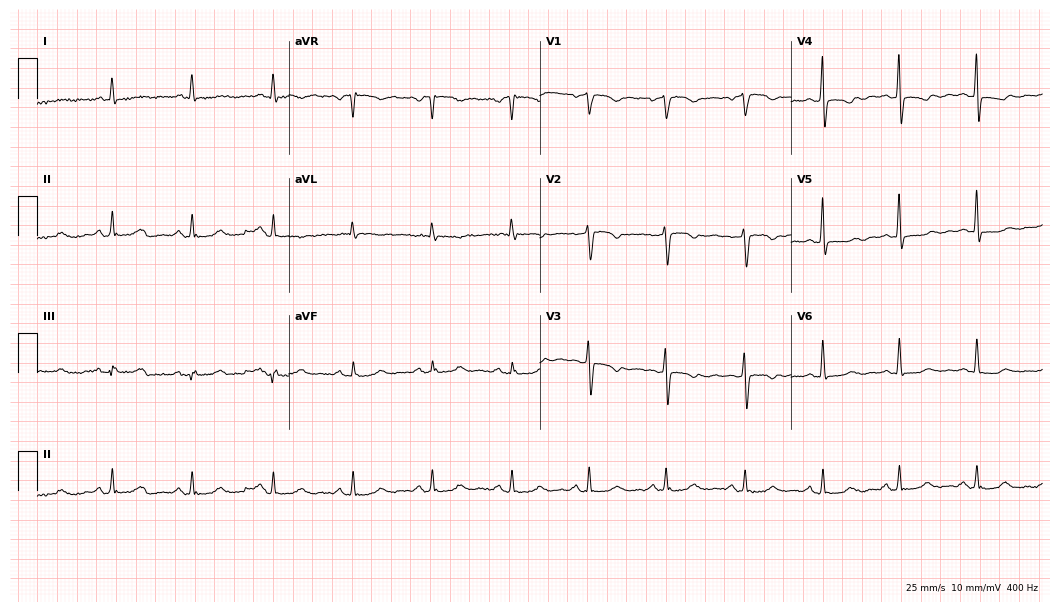
12-lead ECG from a 62-year-old female. Labelled as a normal ECG.